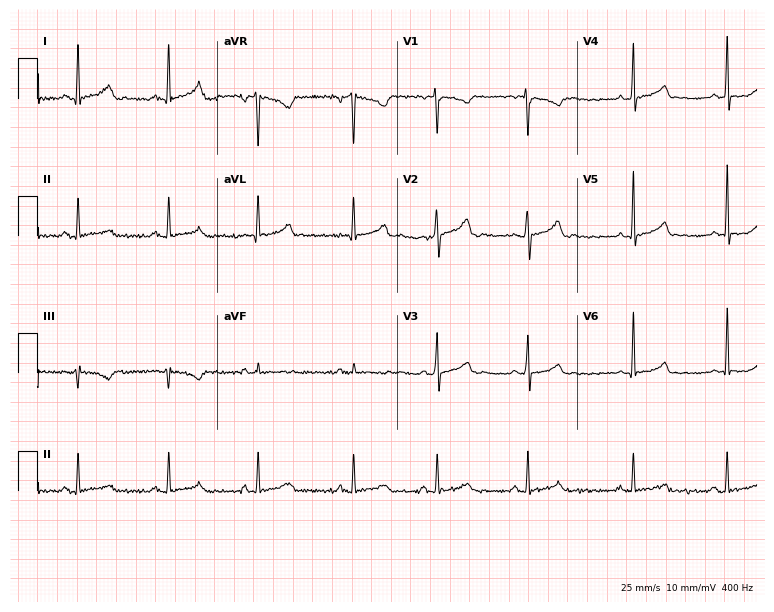
Standard 12-lead ECG recorded from a female, 39 years old (7.3-second recording at 400 Hz). None of these six findings is recorded: first-degree AV block, right bundle branch block, left bundle branch block, sinus bradycardia, atrial fibrillation, sinus tachycardia. Other findings, if any, are not listed.